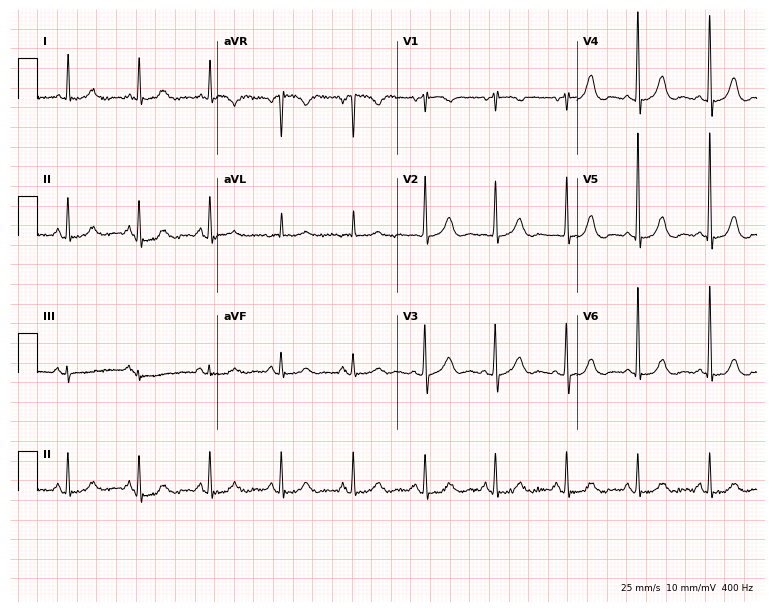
ECG — a 75-year-old female patient. Labelled as a normal ECG.